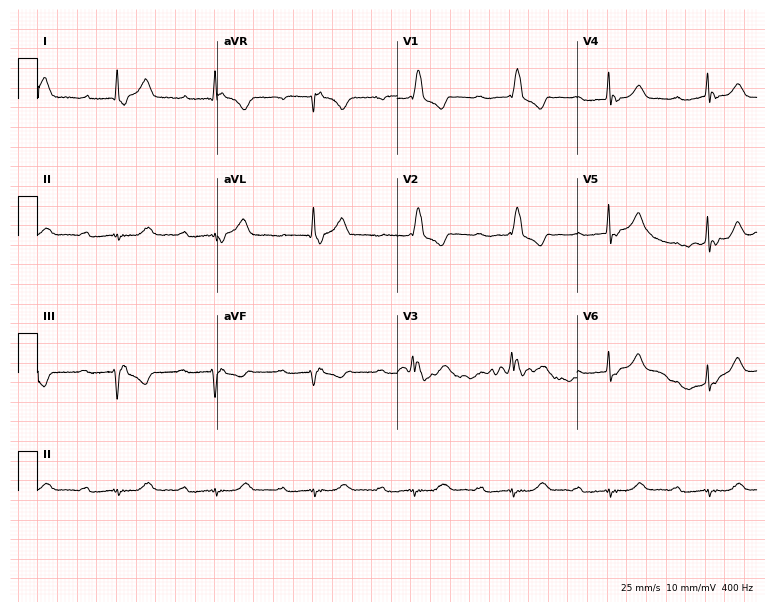
ECG — a male, 69 years old. Findings include right bundle branch block (RBBB).